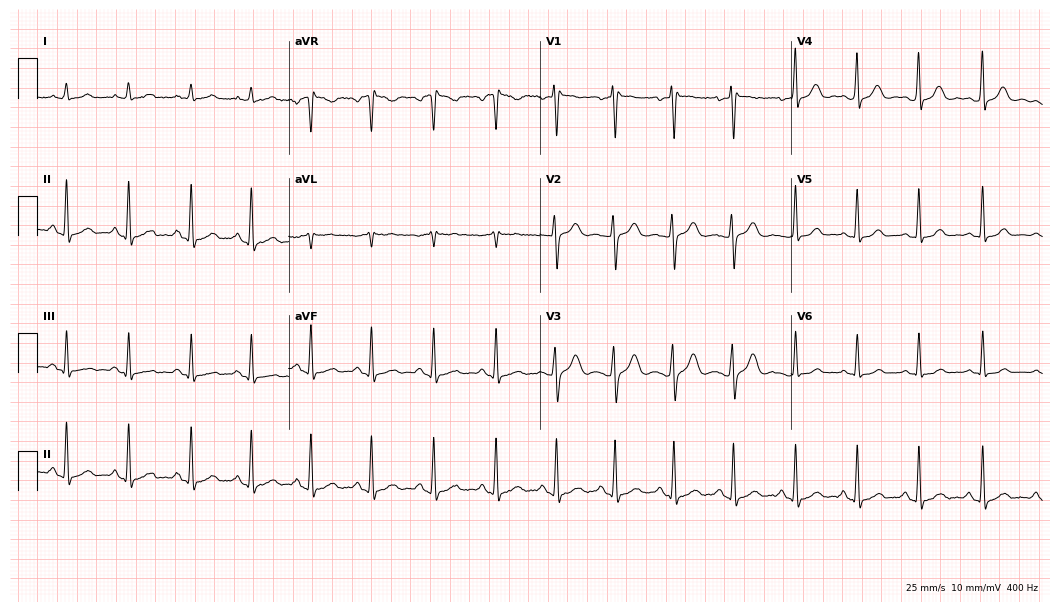
12-lead ECG from a 24-year-old female (10.2-second recording at 400 Hz). Recorded interpretation: within normal limits.